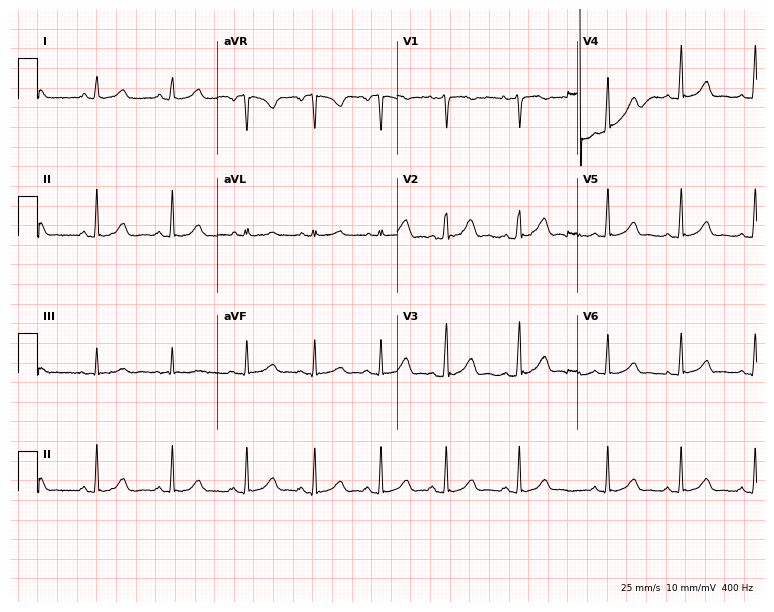
Standard 12-lead ECG recorded from a 24-year-old woman. None of these six findings is recorded: first-degree AV block, right bundle branch block (RBBB), left bundle branch block (LBBB), sinus bradycardia, atrial fibrillation (AF), sinus tachycardia.